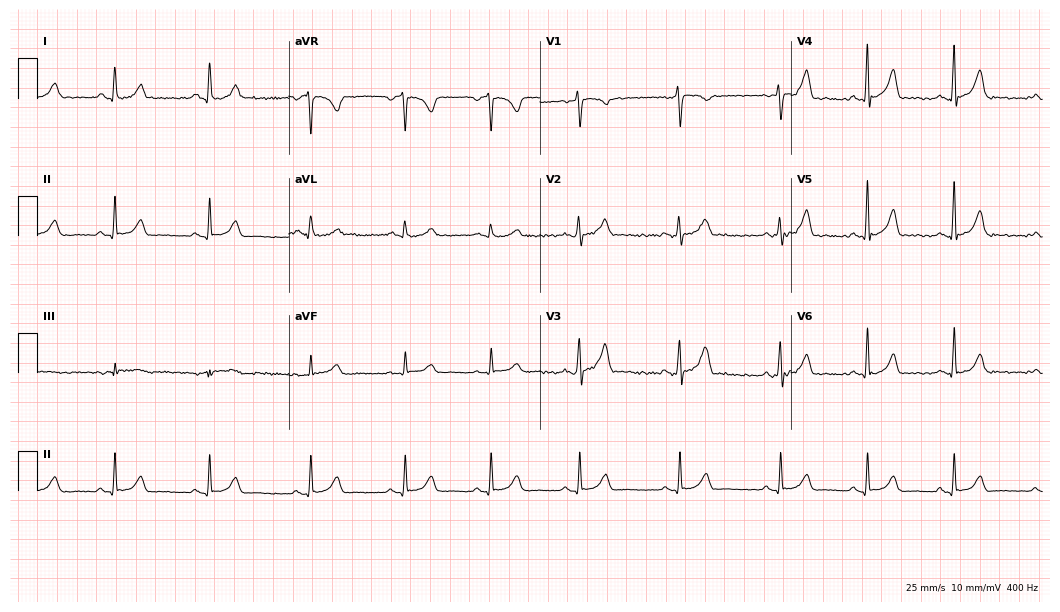
12-lead ECG from a female patient, 29 years old (10.2-second recording at 400 Hz). Recorded interpretation: within normal limits.